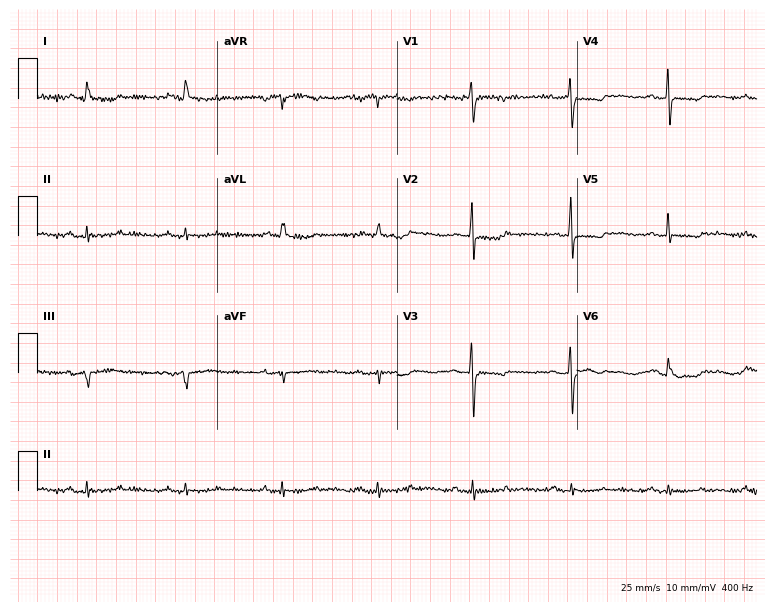
Resting 12-lead electrocardiogram. Patient: a female, 72 years old. None of these six findings is recorded: first-degree AV block, right bundle branch block, left bundle branch block, sinus bradycardia, atrial fibrillation, sinus tachycardia. Findings outside these six are not listed.